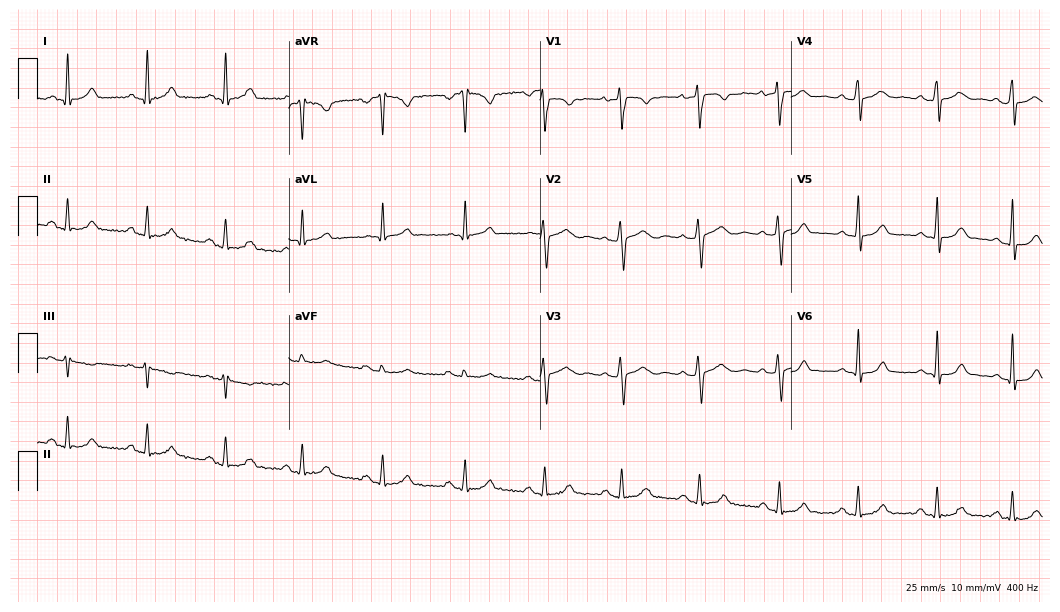
12-lead ECG from a female patient, 35 years old. Recorded interpretation: within normal limits.